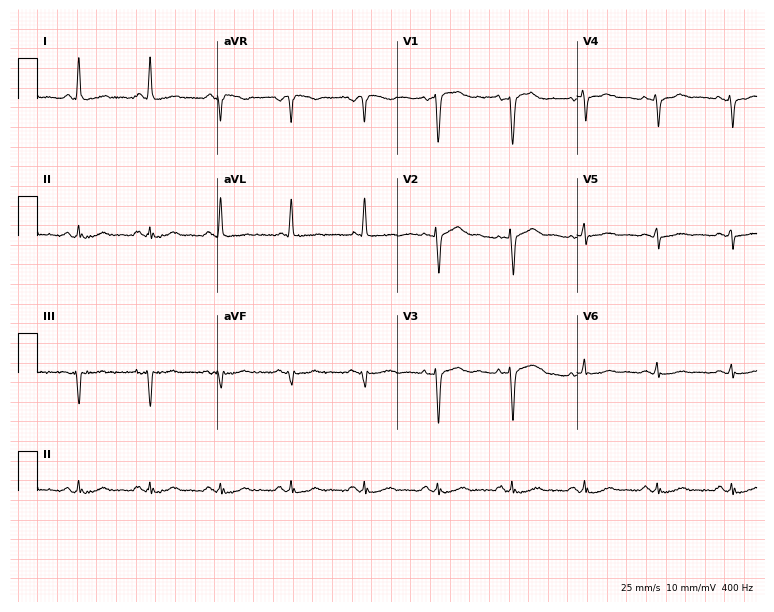
Electrocardiogram (7.3-second recording at 400 Hz), a woman, 50 years old. Of the six screened findings (first-degree AV block, right bundle branch block, left bundle branch block, sinus bradycardia, atrial fibrillation, sinus tachycardia), none is recorded.